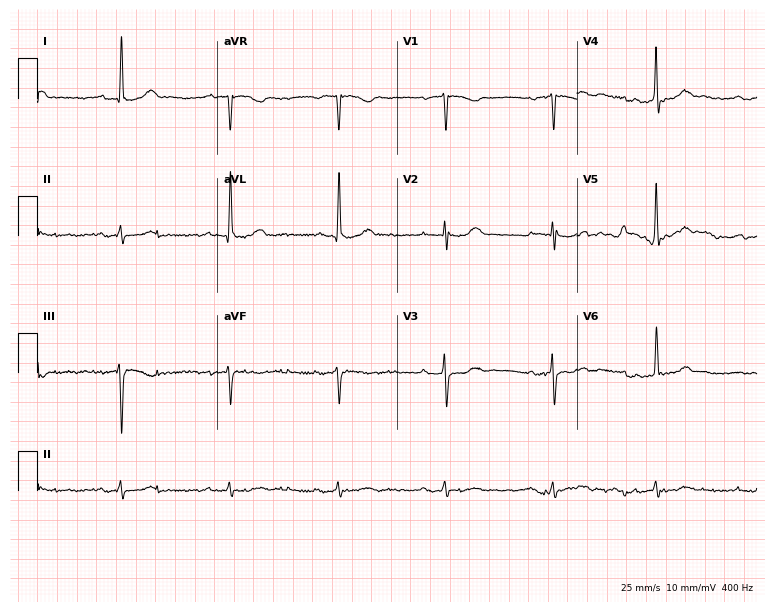
Electrocardiogram (7.3-second recording at 400 Hz), a male, 79 years old. Overall reading on record: normal ECG.